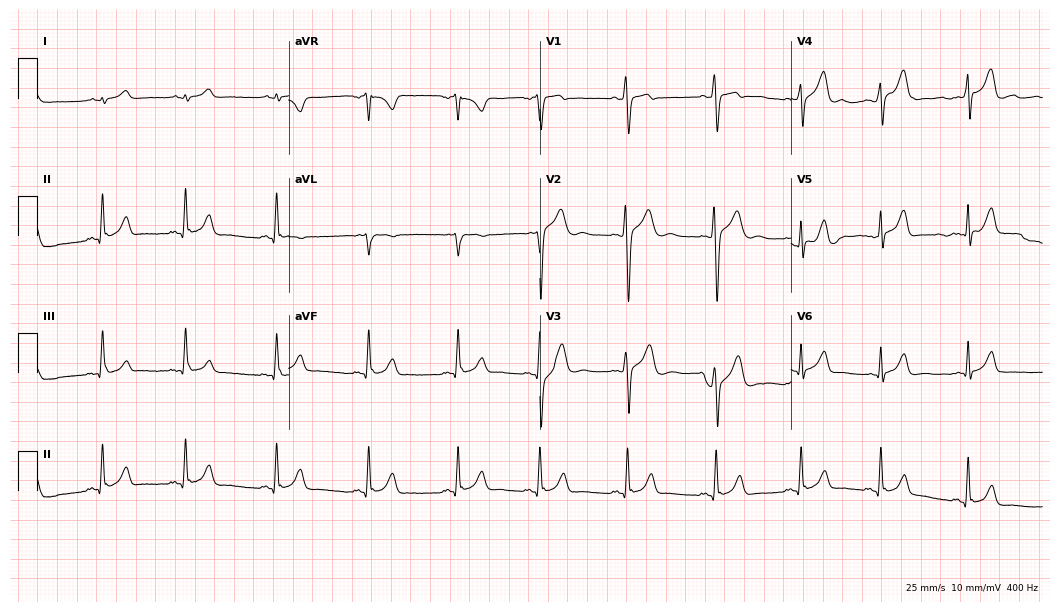
Resting 12-lead electrocardiogram. Patient: a male, 25 years old. Read as a normal ECG.